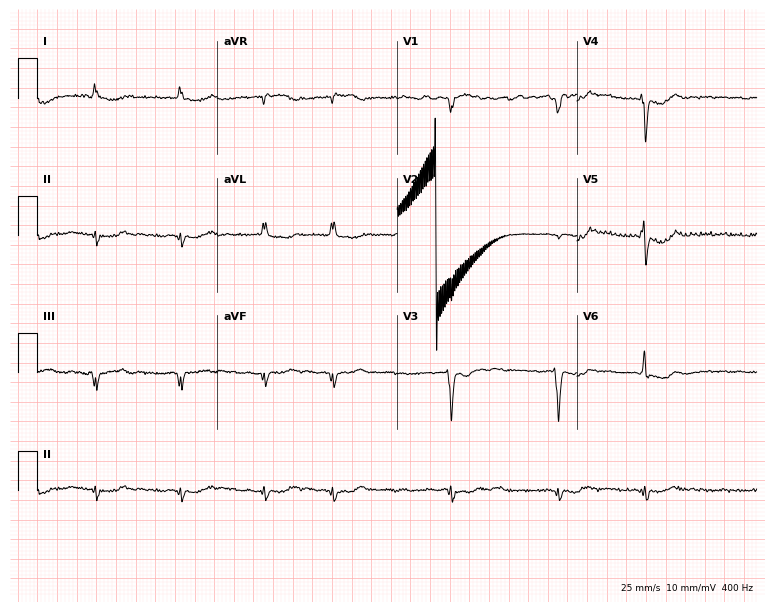
12-lead ECG from a 76-year-old female. No first-degree AV block, right bundle branch block, left bundle branch block, sinus bradycardia, atrial fibrillation or sinus tachycardia recorded for this tracing.